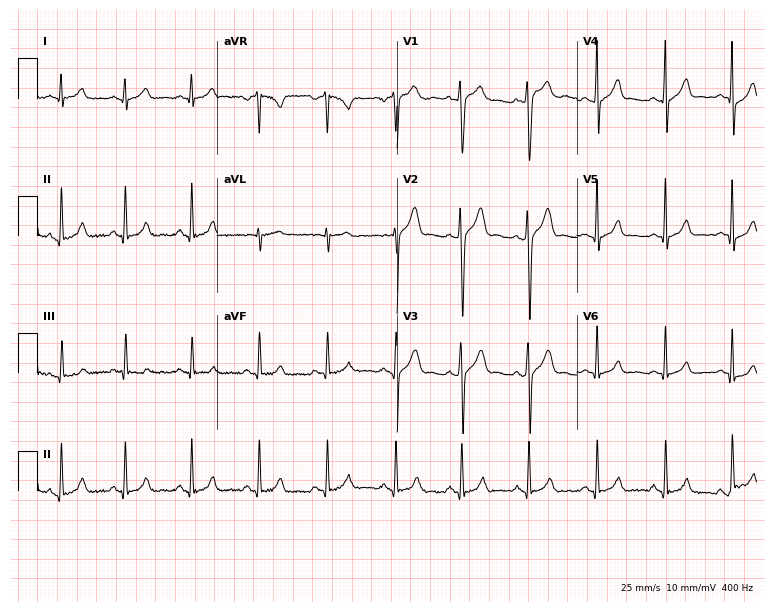
12-lead ECG from a male patient, 20 years old. Labelled as a normal ECG.